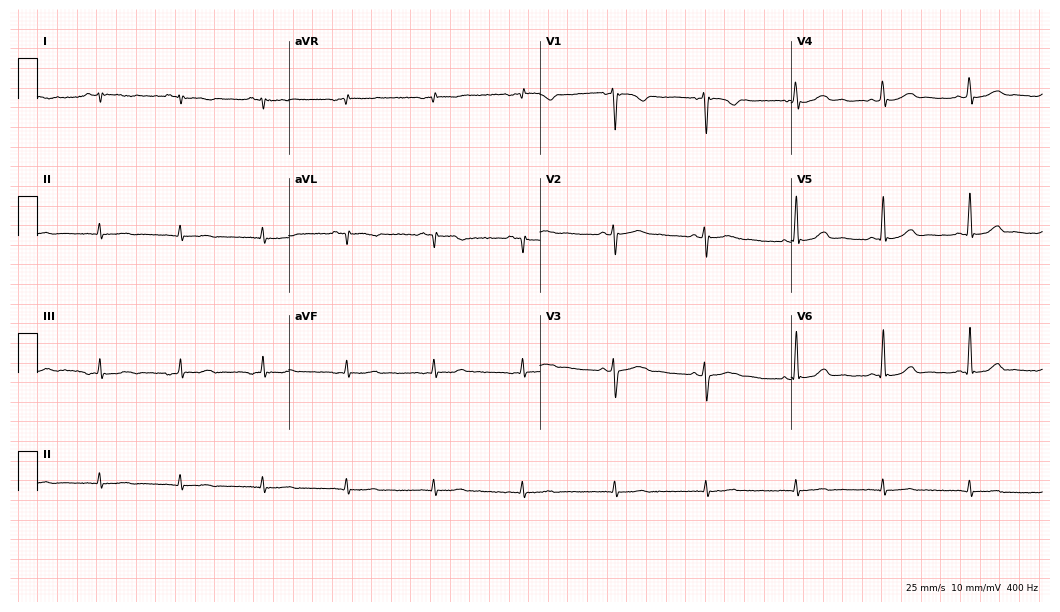
Resting 12-lead electrocardiogram (10.2-second recording at 400 Hz). Patient: a woman, 42 years old. None of these six findings is recorded: first-degree AV block, right bundle branch block (RBBB), left bundle branch block (LBBB), sinus bradycardia, atrial fibrillation (AF), sinus tachycardia. Only these six findings were labelled.